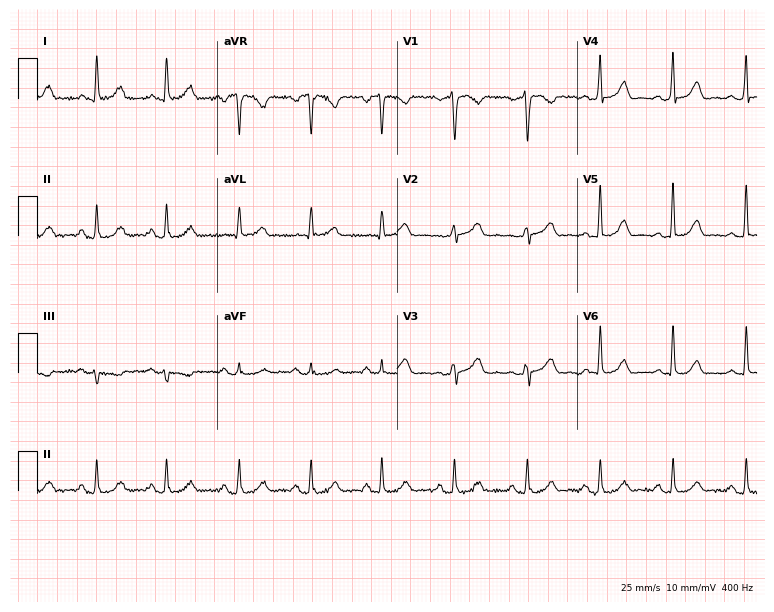
Electrocardiogram, a 46-year-old female patient. Overall reading on record: normal ECG.